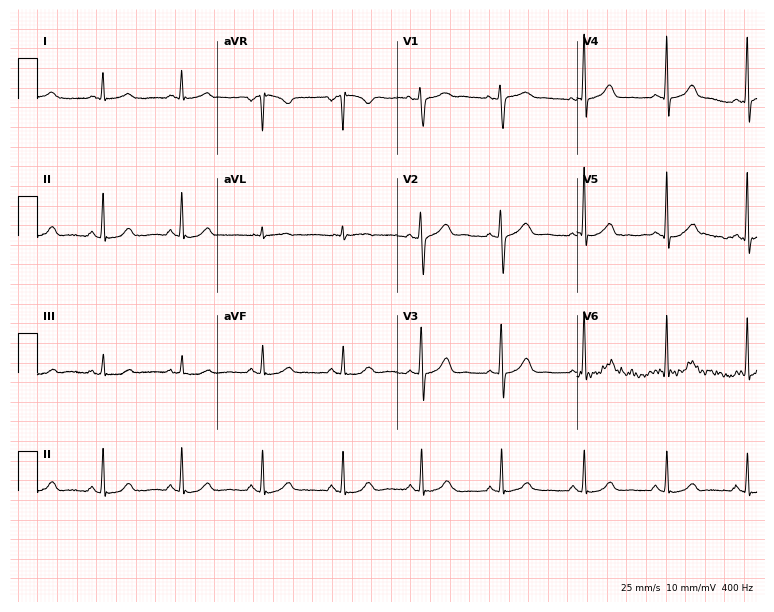
Resting 12-lead electrocardiogram. Patient: a 63-year-old female. Read as a normal ECG.